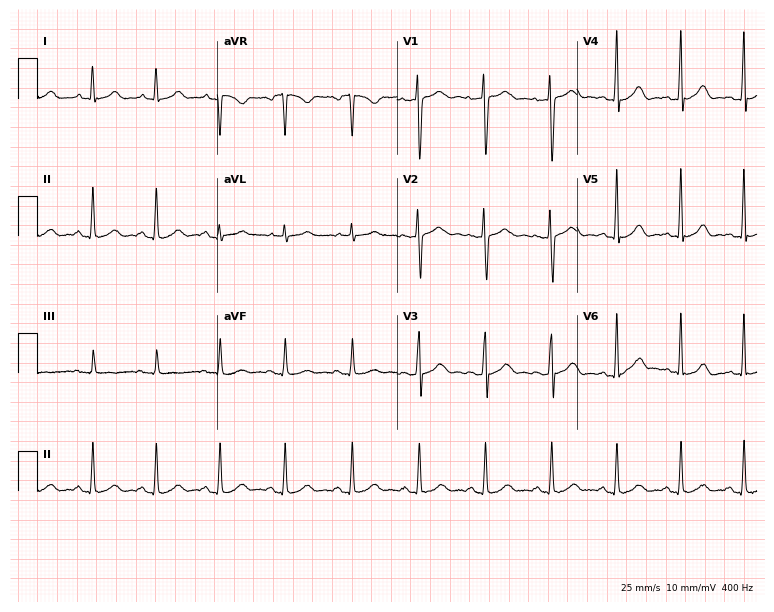
ECG (7.3-second recording at 400 Hz) — a 35-year-old female. Labelled as a normal ECG.